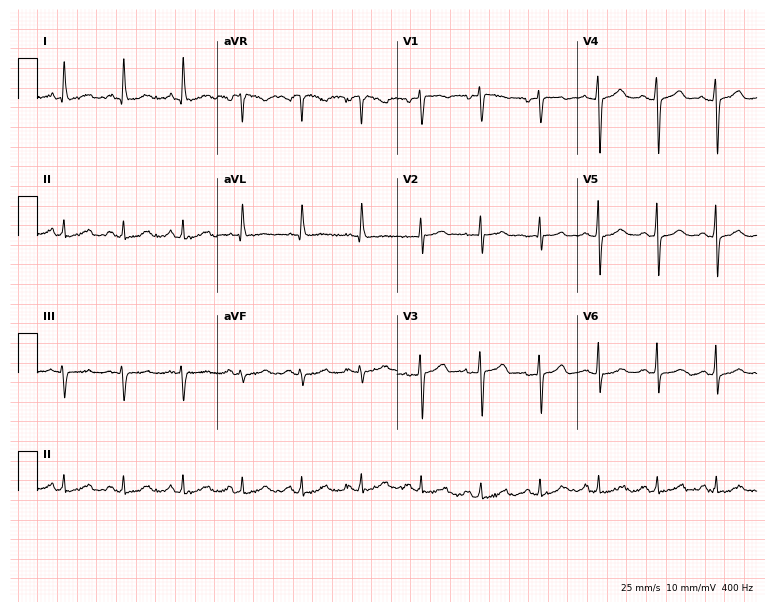
12-lead ECG from a 49-year-old female patient (7.3-second recording at 400 Hz). Recorded interpretation: within normal limits.